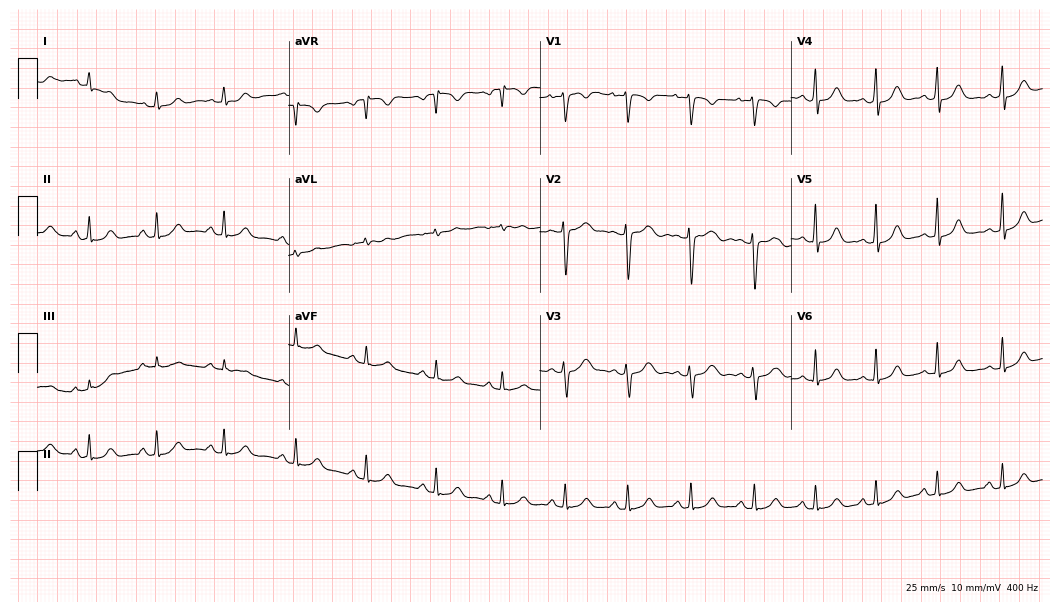
Standard 12-lead ECG recorded from a 26-year-old woman. Read as a normal ECG.